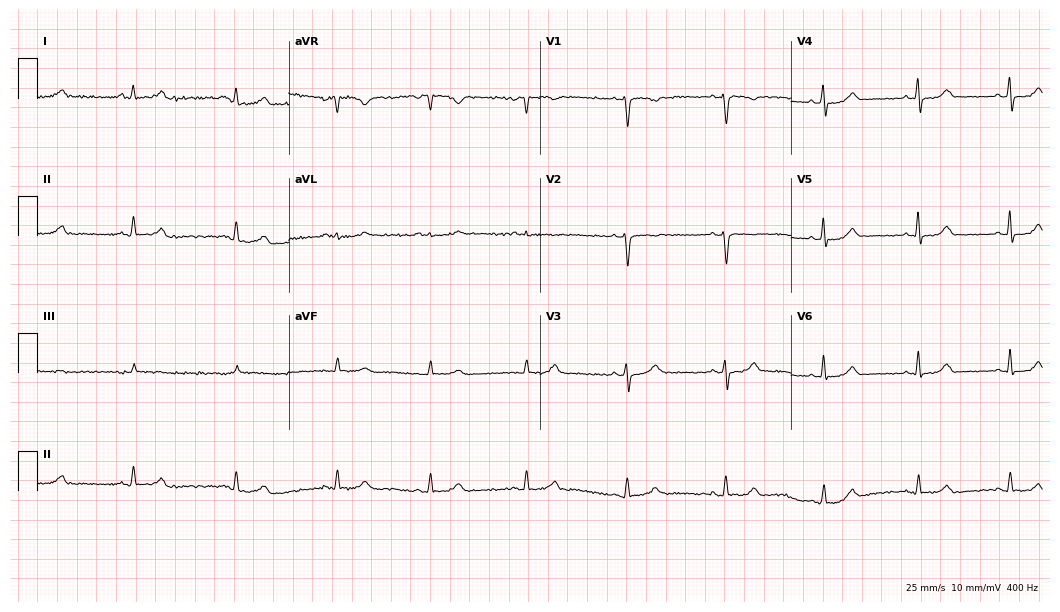
Standard 12-lead ECG recorded from a female patient, 40 years old (10.2-second recording at 400 Hz). Read as a normal ECG.